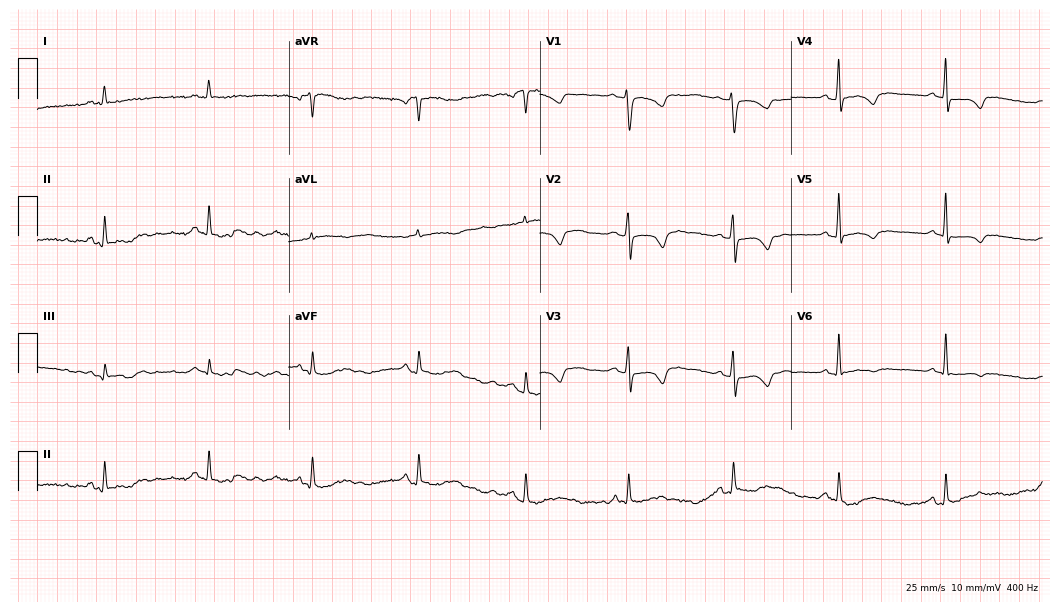
12-lead ECG from a 62-year-old woman. Screened for six findings — first-degree AV block, right bundle branch block (RBBB), left bundle branch block (LBBB), sinus bradycardia, atrial fibrillation (AF), sinus tachycardia — none is recorded. Only these six findings were labelled.